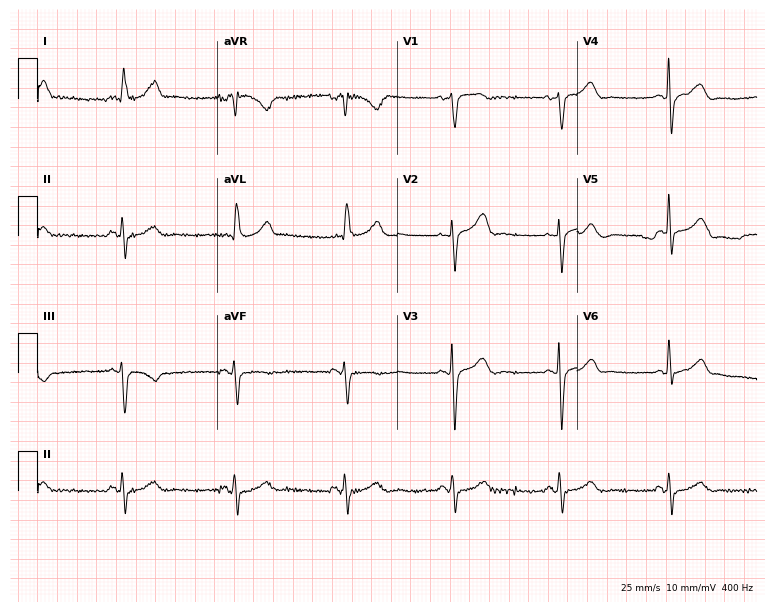
Standard 12-lead ECG recorded from a female, 81 years old. None of these six findings is recorded: first-degree AV block, right bundle branch block (RBBB), left bundle branch block (LBBB), sinus bradycardia, atrial fibrillation (AF), sinus tachycardia.